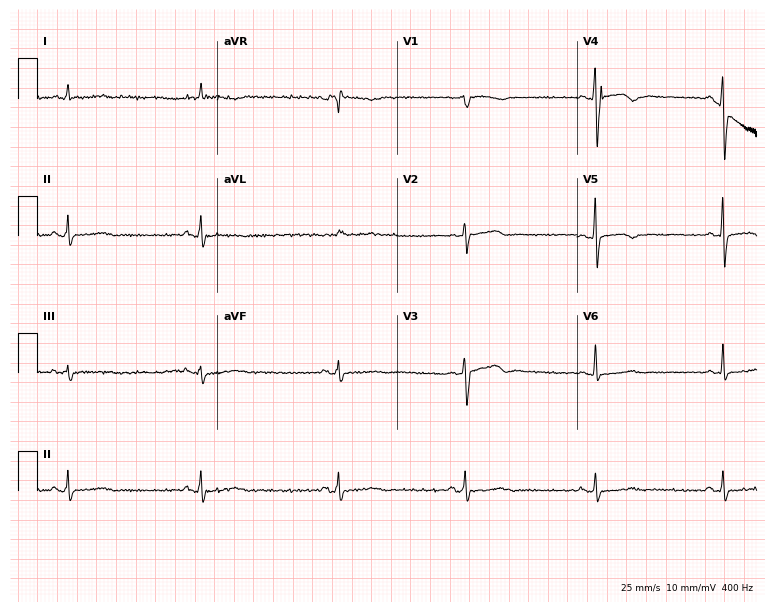
Electrocardiogram (7.3-second recording at 400 Hz), a 53-year-old woman. Of the six screened findings (first-degree AV block, right bundle branch block, left bundle branch block, sinus bradycardia, atrial fibrillation, sinus tachycardia), none is recorded. Only these six findings were labelled.